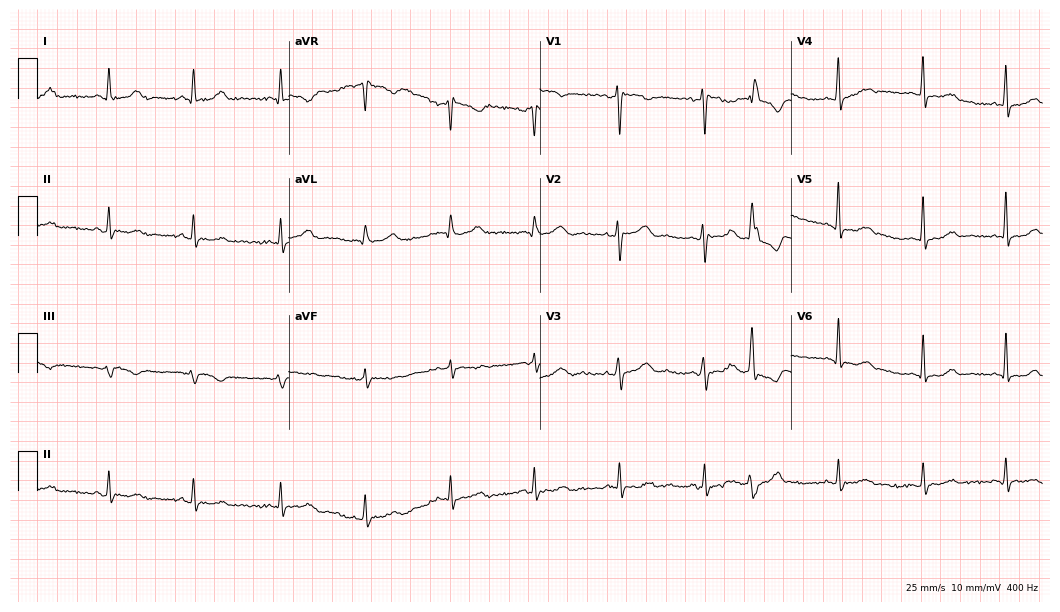
Resting 12-lead electrocardiogram (10.2-second recording at 400 Hz). Patient: a woman, 38 years old. None of these six findings is recorded: first-degree AV block, right bundle branch block, left bundle branch block, sinus bradycardia, atrial fibrillation, sinus tachycardia.